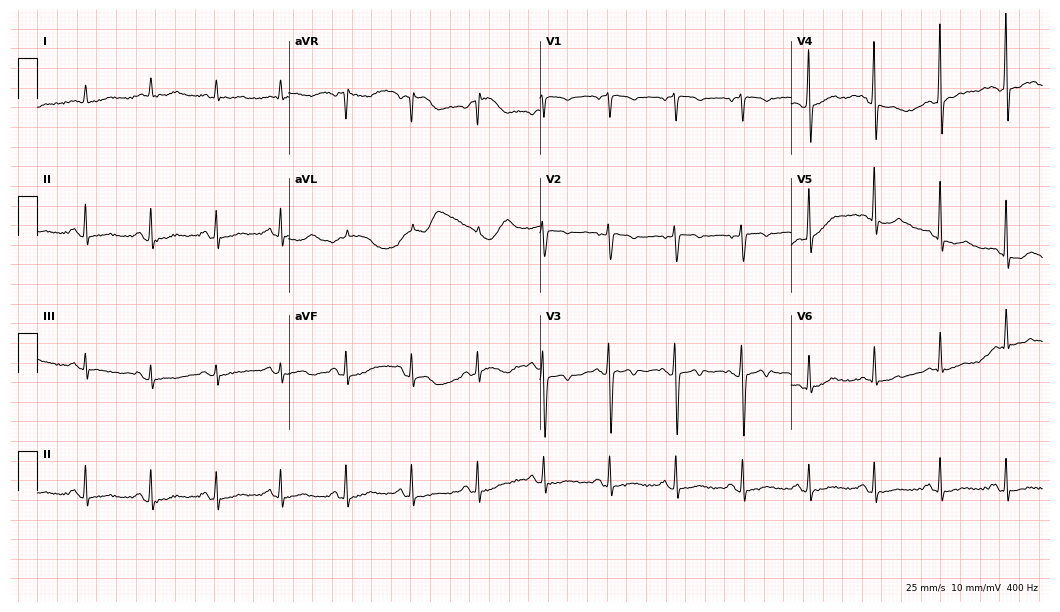
12-lead ECG from a 69-year-old female. No first-degree AV block, right bundle branch block, left bundle branch block, sinus bradycardia, atrial fibrillation or sinus tachycardia recorded for this tracing.